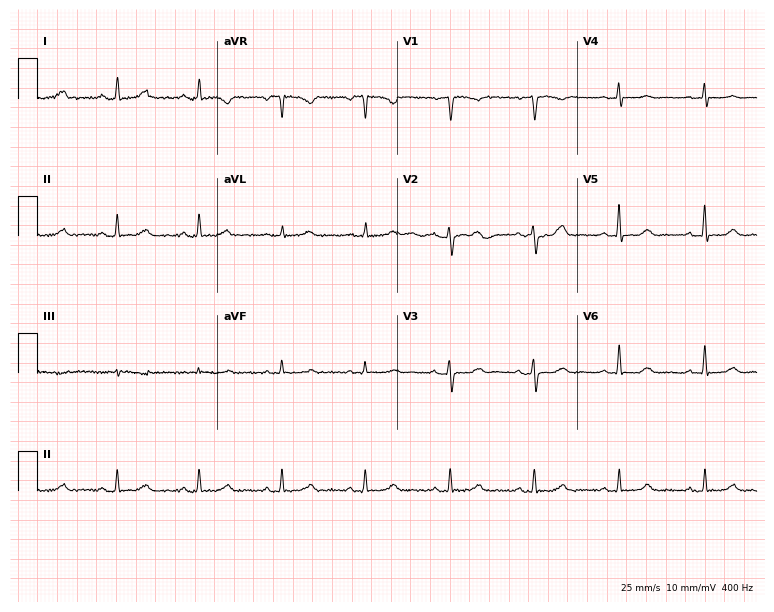
12-lead ECG (7.3-second recording at 400 Hz) from a 49-year-old woman. Screened for six findings — first-degree AV block, right bundle branch block, left bundle branch block, sinus bradycardia, atrial fibrillation, sinus tachycardia — none is recorded.